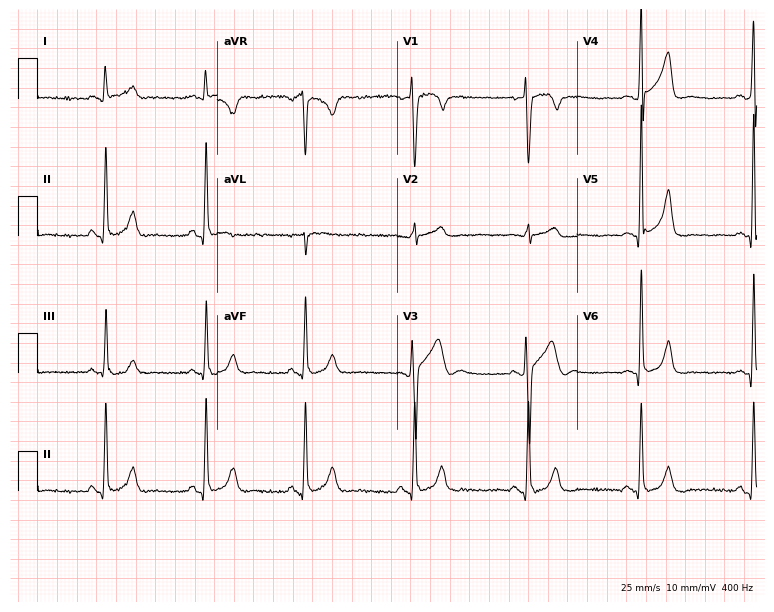
Electrocardiogram (7.3-second recording at 400 Hz), a 28-year-old male patient. Of the six screened findings (first-degree AV block, right bundle branch block, left bundle branch block, sinus bradycardia, atrial fibrillation, sinus tachycardia), none is recorded. Only these six findings were labelled.